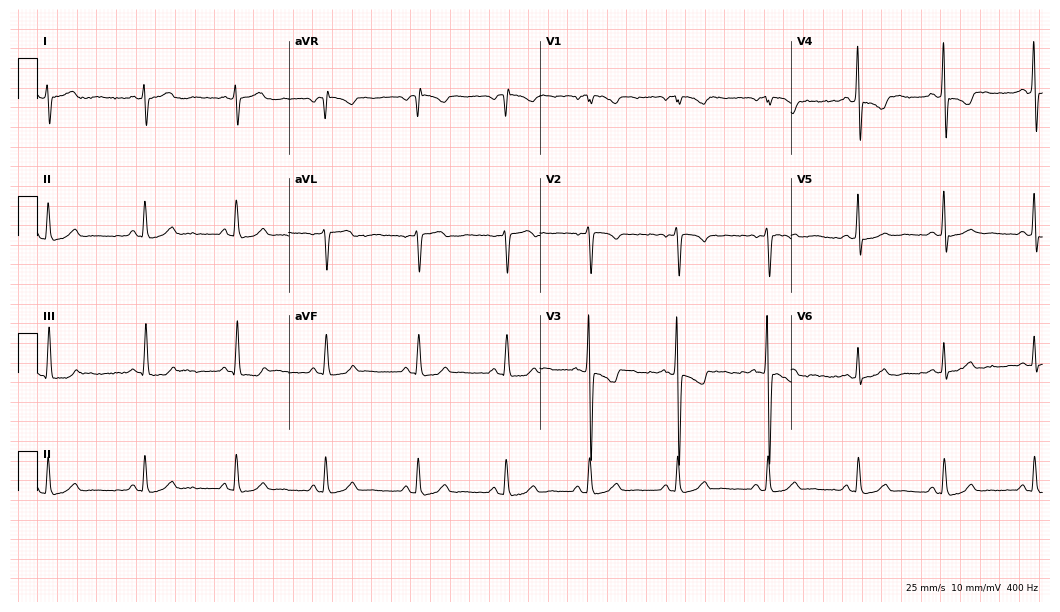
Electrocardiogram (10.2-second recording at 400 Hz), a 24-year-old female. Of the six screened findings (first-degree AV block, right bundle branch block (RBBB), left bundle branch block (LBBB), sinus bradycardia, atrial fibrillation (AF), sinus tachycardia), none is recorded.